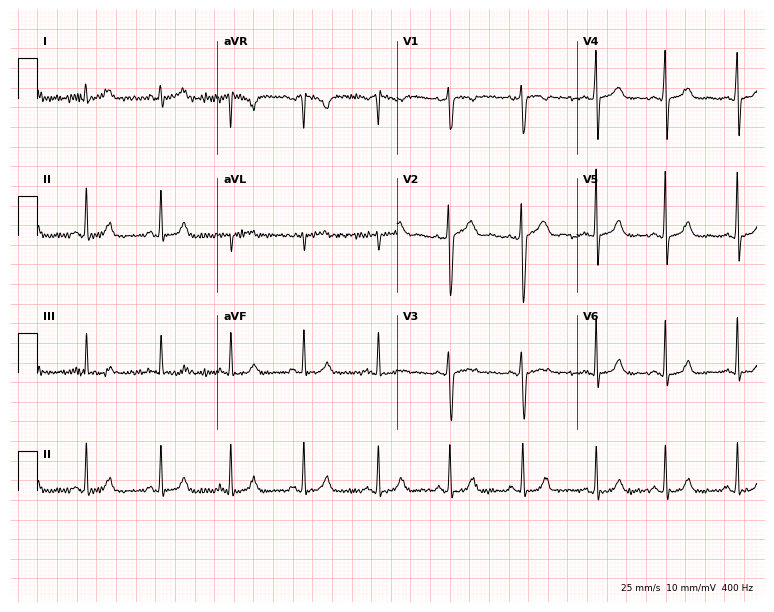
Electrocardiogram, a woman, 31 years old. Overall reading on record: normal ECG.